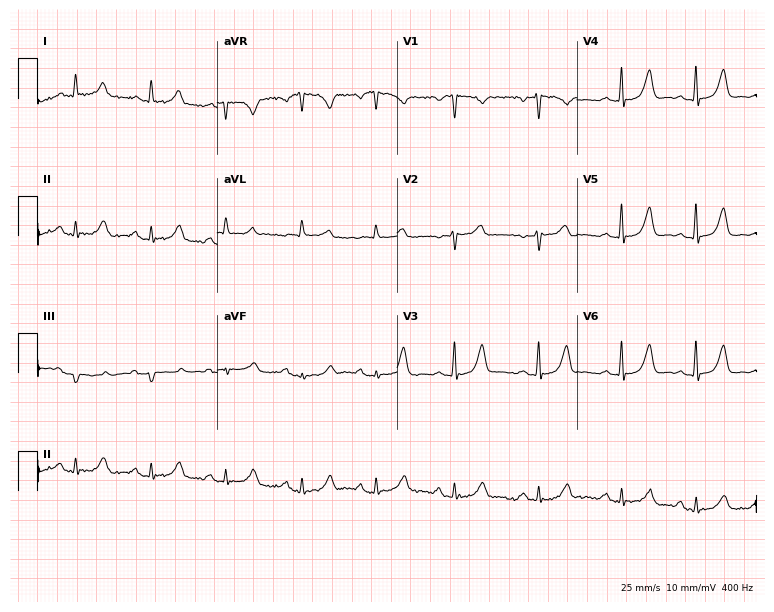
ECG (7.3-second recording at 400 Hz) — a 46-year-old female. Screened for six findings — first-degree AV block, right bundle branch block, left bundle branch block, sinus bradycardia, atrial fibrillation, sinus tachycardia — none is recorded.